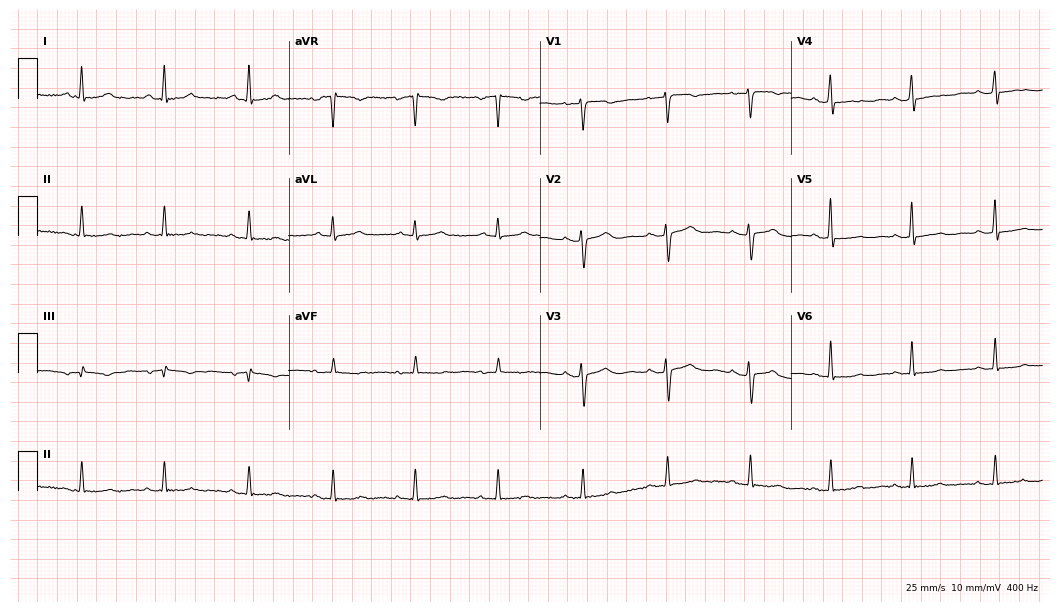
Electrocardiogram, a woman, 48 years old. Of the six screened findings (first-degree AV block, right bundle branch block (RBBB), left bundle branch block (LBBB), sinus bradycardia, atrial fibrillation (AF), sinus tachycardia), none is recorded.